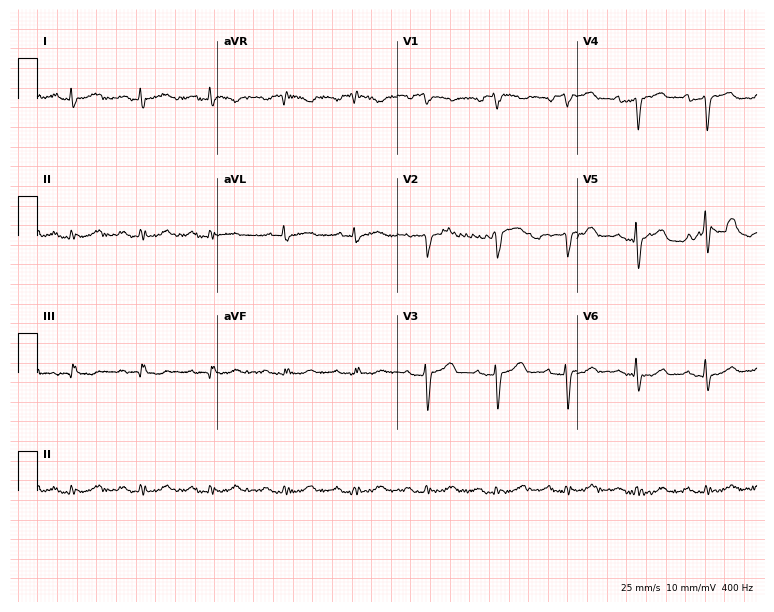
Standard 12-lead ECG recorded from a woman, 85 years old. None of these six findings is recorded: first-degree AV block, right bundle branch block, left bundle branch block, sinus bradycardia, atrial fibrillation, sinus tachycardia. Other findings, if any, are not listed.